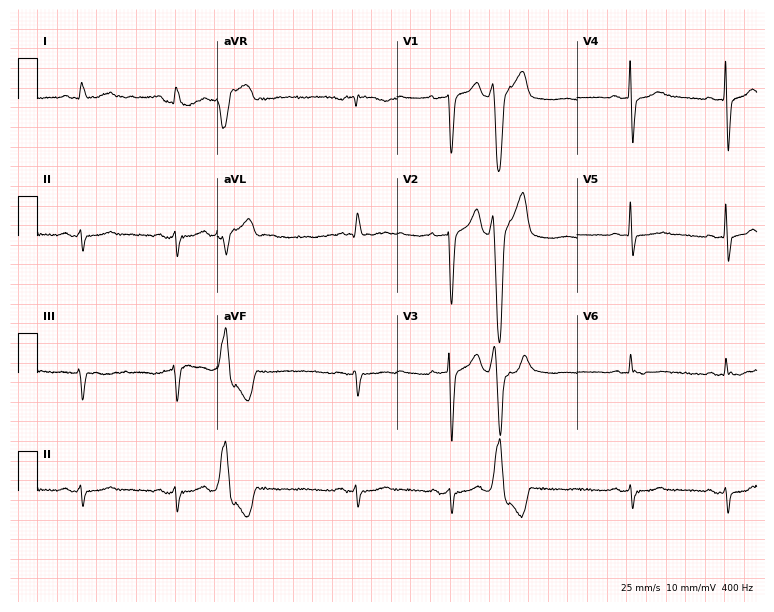
Resting 12-lead electrocardiogram. Patient: a male, 76 years old. None of these six findings is recorded: first-degree AV block, right bundle branch block, left bundle branch block, sinus bradycardia, atrial fibrillation, sinus tachycardia.